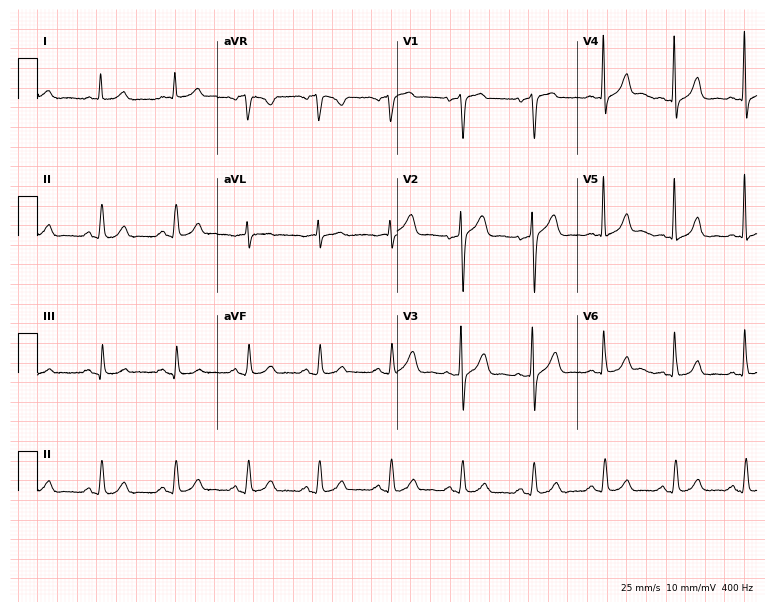
Electrocardiogram, a male patient, 68 years old. Overall reading on record: normal ECG.